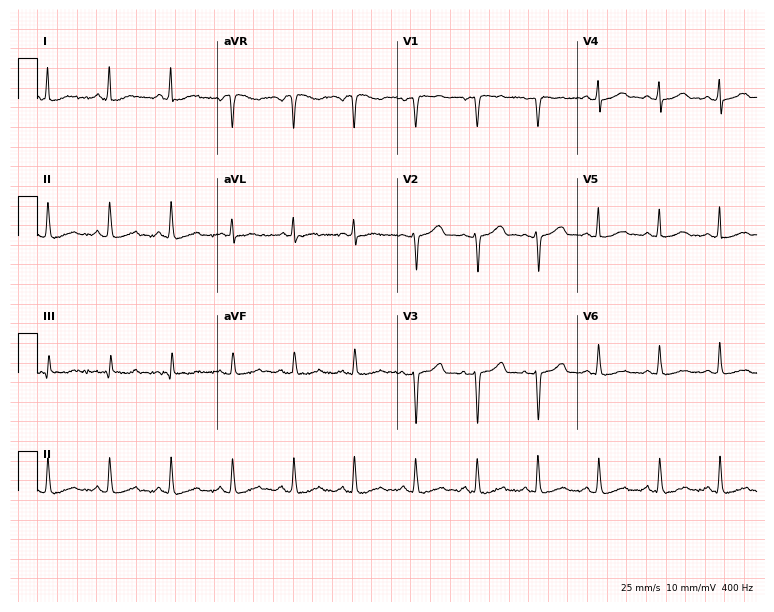
Standard 12-lead ECG recorded from a 43-year-old female patient. Read as a normal ECG.